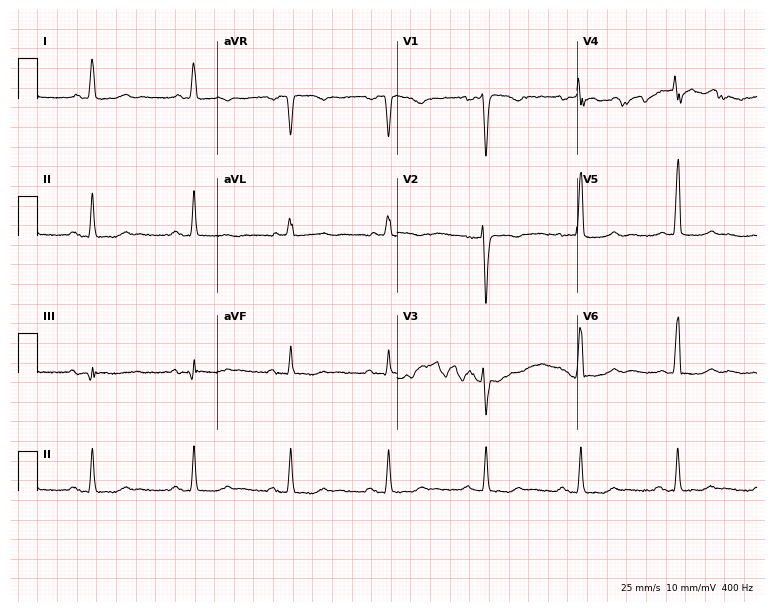
12-lead ECG from a female patient, 58 years old. No first-degree AV block, right bundle branch block, left bundle branch block, sinus bradycardia, atrial fibrillation or sinus tachycardia recorded for this tracing.